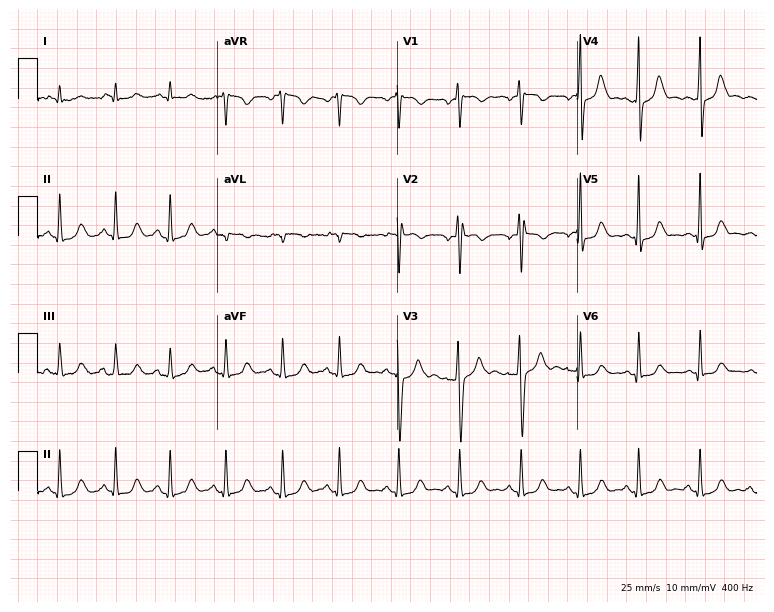
12-lead ECG from a 24-year-old female patient (7.3-second recording at 400 Hz). Shows sinus tachycardia (a sinus rate of 100 beats per minute or more).